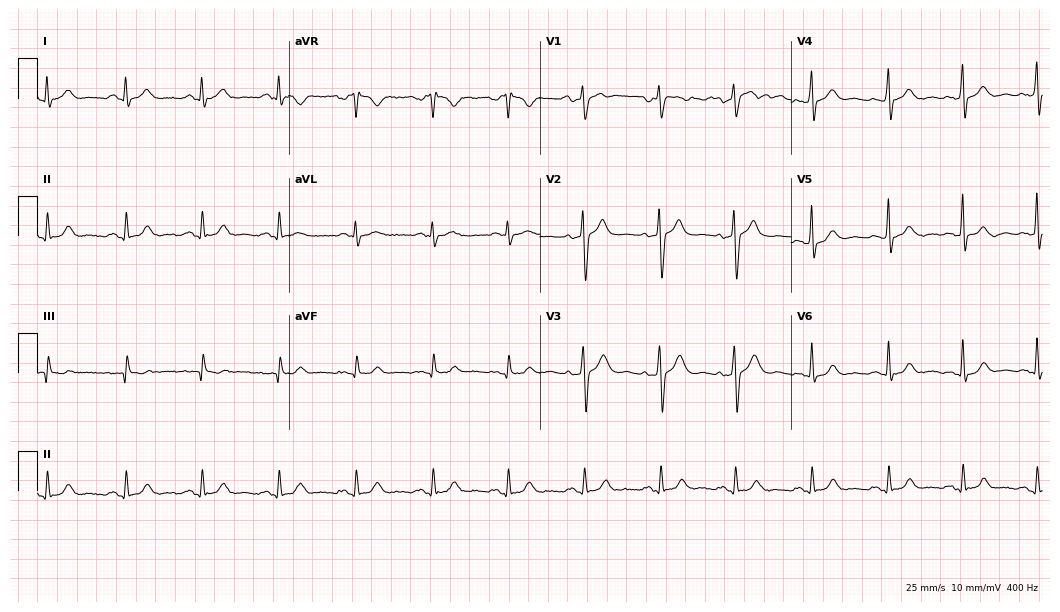
Resting 12-lead electrocardiogram (10.2-second recording at 400 Hz). Patient: a female, 48 years old. Read as a normal ECG.